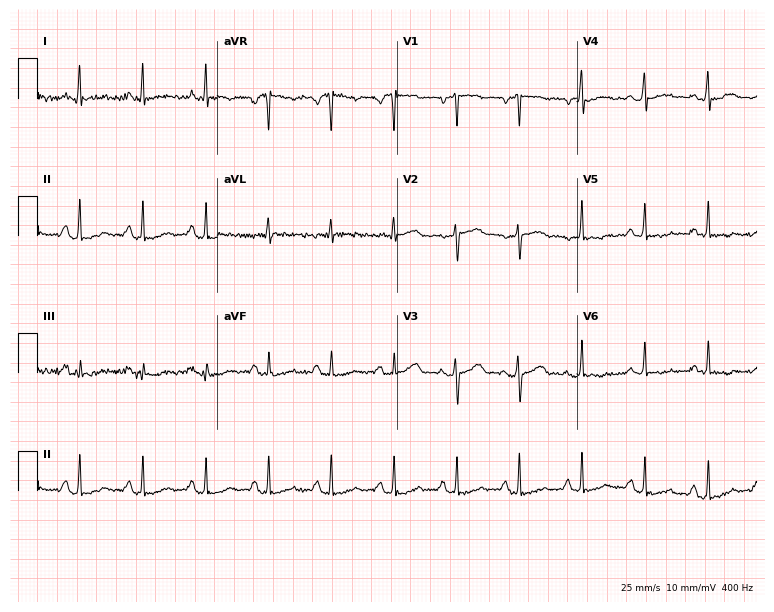
Standard 12-lead ECG recorded from a female patient, 49 years old (7.3-second recording at 400 Hz). None of these six findings is recorded: first-degree AV block, right bundle branch block (RBBB), left bundle branch block (LBBB), sinus bradycardia, atrial fibrillation (AF), sinus tachycardia. Findings outside these six are not listed.